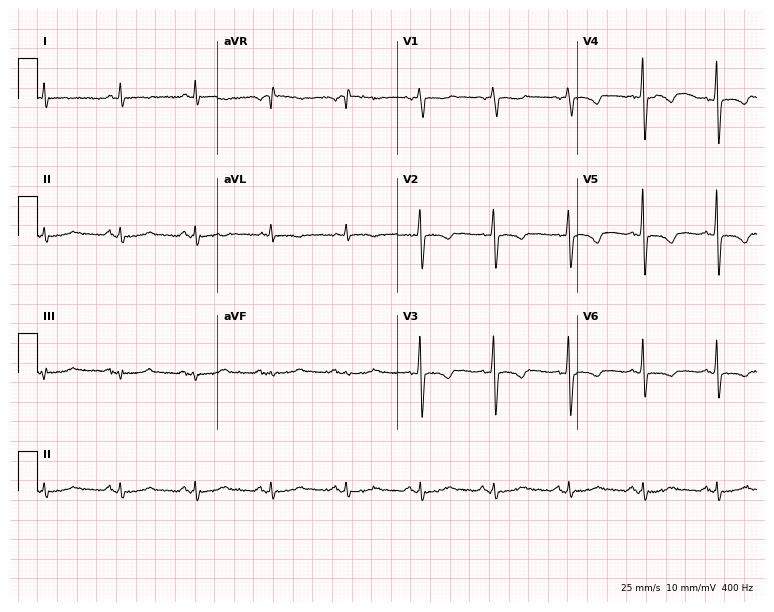
12-lead ECG from a male, 79 years old. No first-degree AV block, right bundle branch block, left bundle branch block, sinus bradycardia, atrial fibrillation or sinus tachycardia recorded for this tracing. Findings outside these six are not listed.